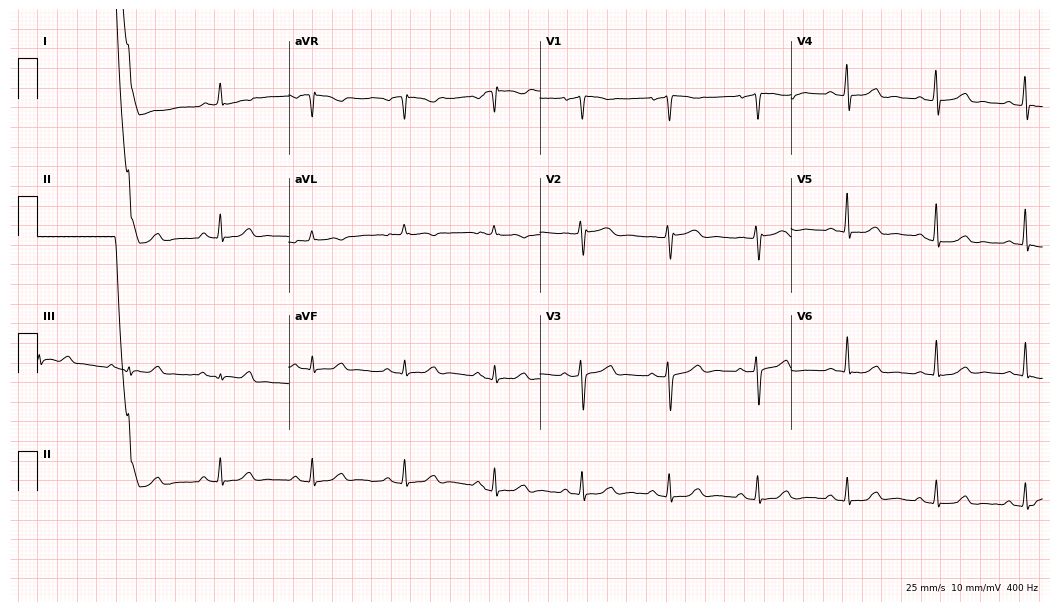
Standard 12-lead ECG recorded from a female patient, 54 years old (10.2-second recording at 400 Hz). None of these six findings is recorded: first-degree AV block, right bundle branch block, left bundle branch block, sinus bradycardia, atrial fibrillation, sinus tachycardia.